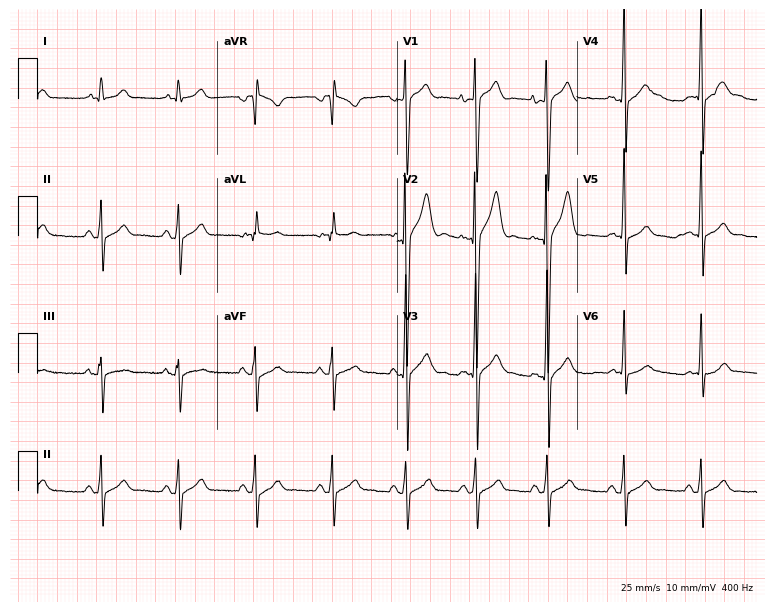
12-lead ECG from a 17-year-old man. Screened for six findings — first-degree AV block, right bundle branch block (RBBB), left bundle branch block (LBBB), sinus bradycardia, atrial fibrillation (AF), sinus tachycardia — none is recorded.